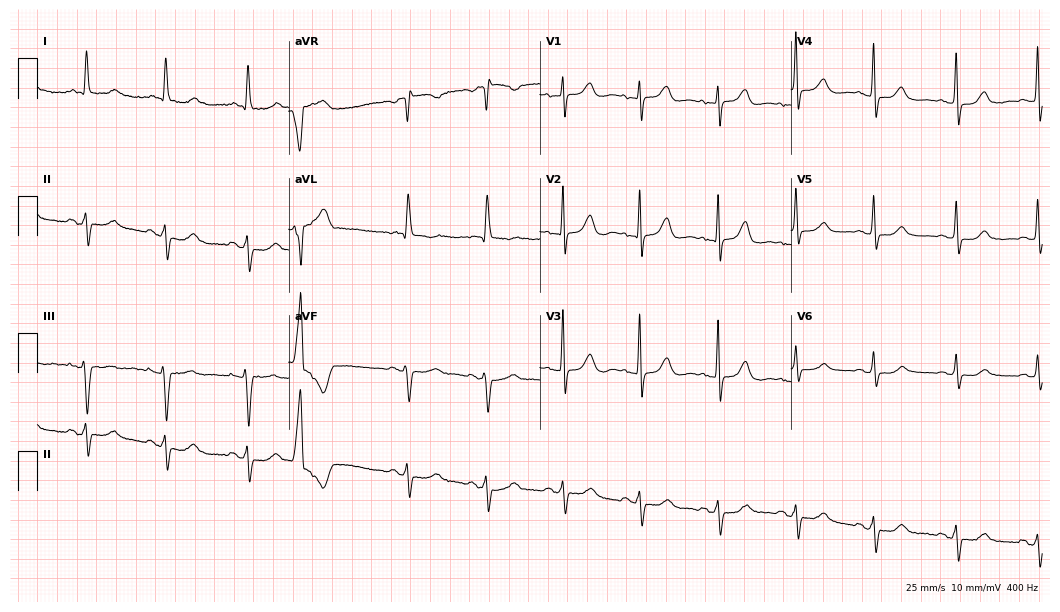
Standard 12-lead ECG recorded from a female, 84 years old. None of these six findings is recorded: first-degree AV block, right bundle branch block, left bundle branch block, sinus bradycardia, atrial fibrillation, sinus tachycardia. Findings outside these six are not listed.